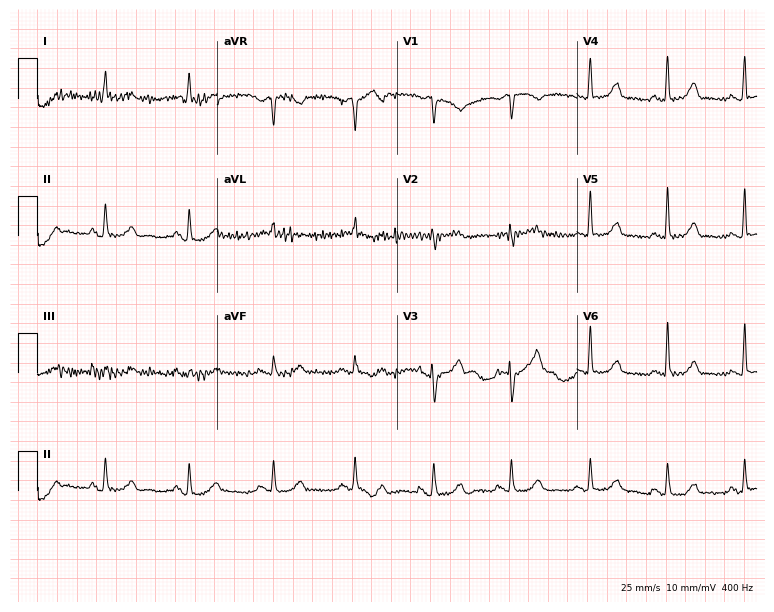
12-lead ECG from a female patient, 63 years old. Recorded interpretation: within normal limits.